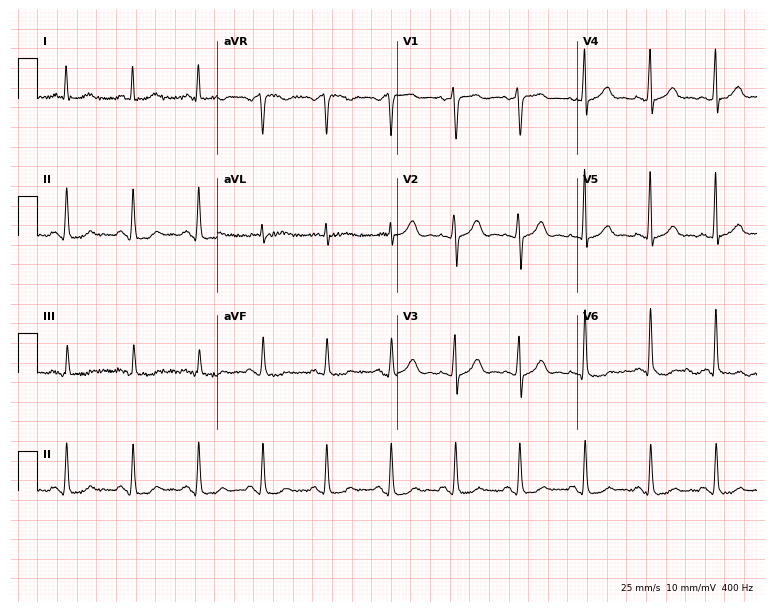
ECG (7.3-second recording at 400 Hz) — a 40-year-old man. Screened for six findings — first-degree AV block, right bundle branch block, left bundle branch block, sinus bradycardia, atrial fibrillation, sinus tachycardia — none is recorded. Only these six findings were labelled.